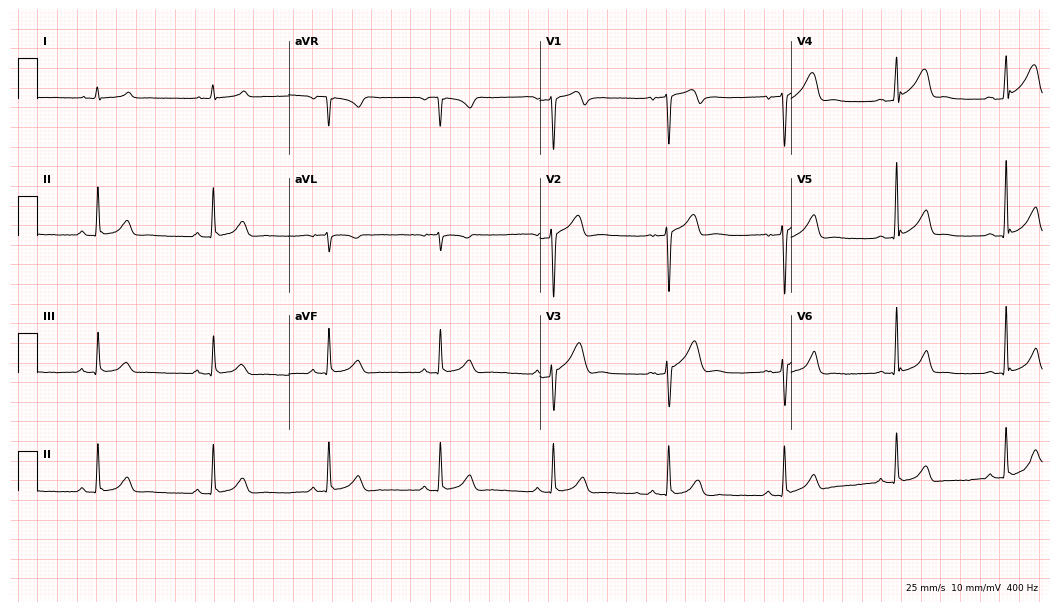
Standard 12-lead ECG recorded from a male patient, 37 years old. Read as a normal ECG.